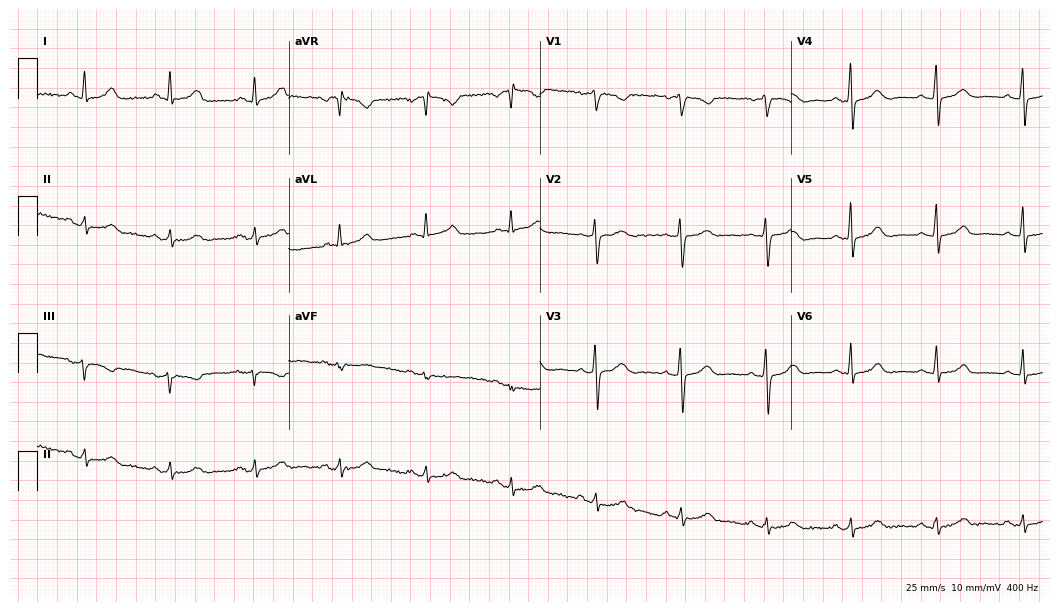
Electrocardiogram, a 50-year-old woman. Of the six screened findings (first-degree AV block, right bundle branch block (RBBB), left bundle branch block (LBBB), sinus bradycardia, atrial fibrillation (AF), sinus tachycardia), none is recorded.